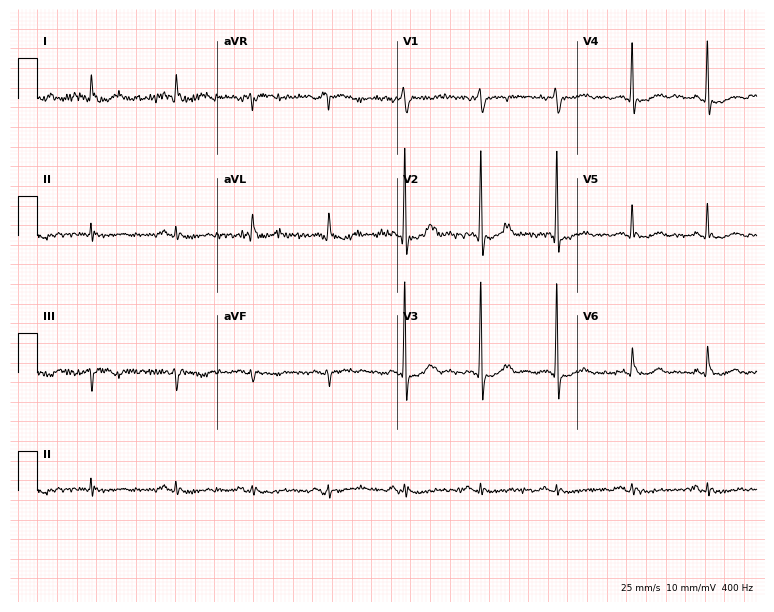
Standard 12-lead ECG recorded from a woman, 84 years old (7.3-second recording at 400 Hz). None of these six findings is recorded: first-degree AV block, right bundle branch block, left bundle branch block, sinus bradycardia, atrial fibrillation, sinus tachycardia. Only these six findings were labelled.